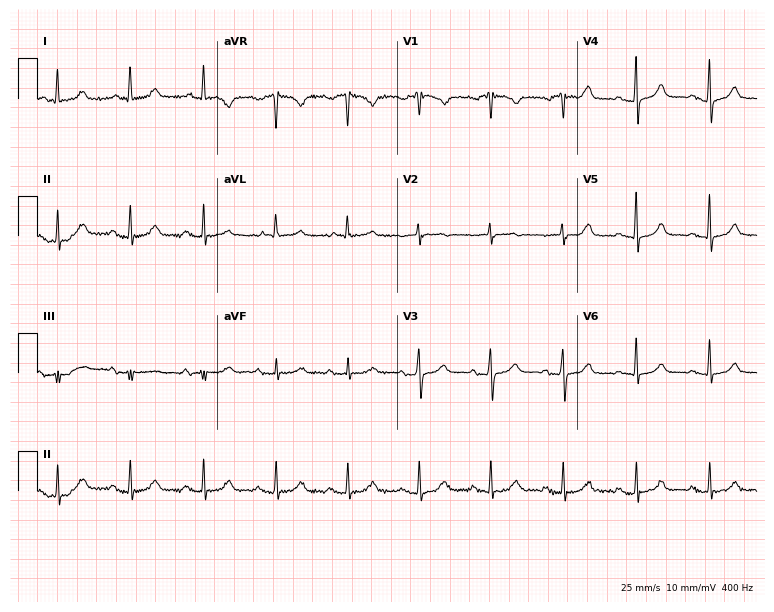
ECG (7.3-second recording at 400 Hz) — a female patient, 77 years old. Screened for six findings — first-degree AV block, right bundle branch block (RBBB), left bundle branch block (LBBB), sinus bradycardia, atrial fibrillation (AF), sinus tachycardia — none is recorded. Only these six findings were labelled.